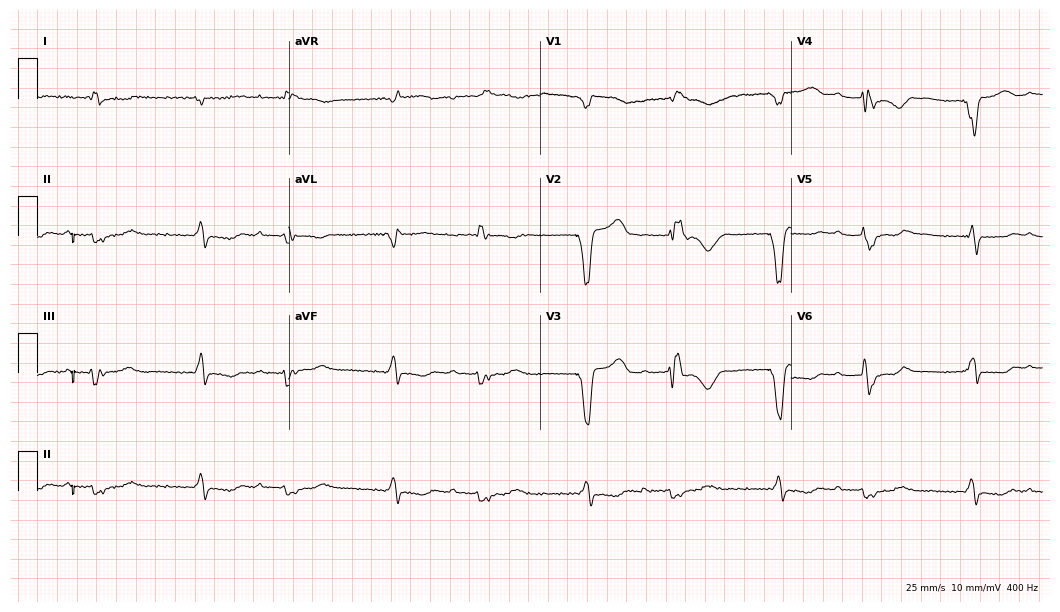
12-lead ECG from a male, 72 years old. Screened for six findings — first-degree AV block, right bundle branch block, left bundle branch block, sinus bradycardia, atrial fibrillation, sinus tachycardia — none is recorded.